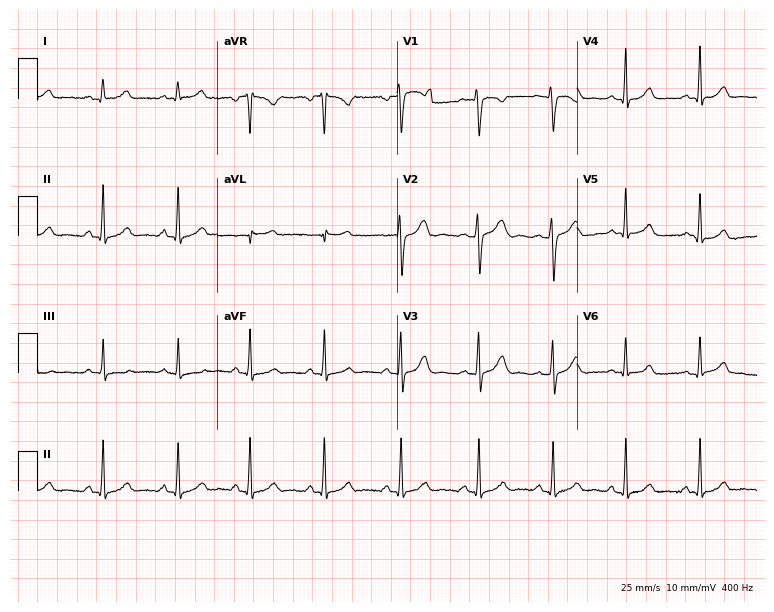
12-lead ECG (7.3-second recording at 400 Hz) from a female patient, 26 years old. Labelled as a normal ECG.